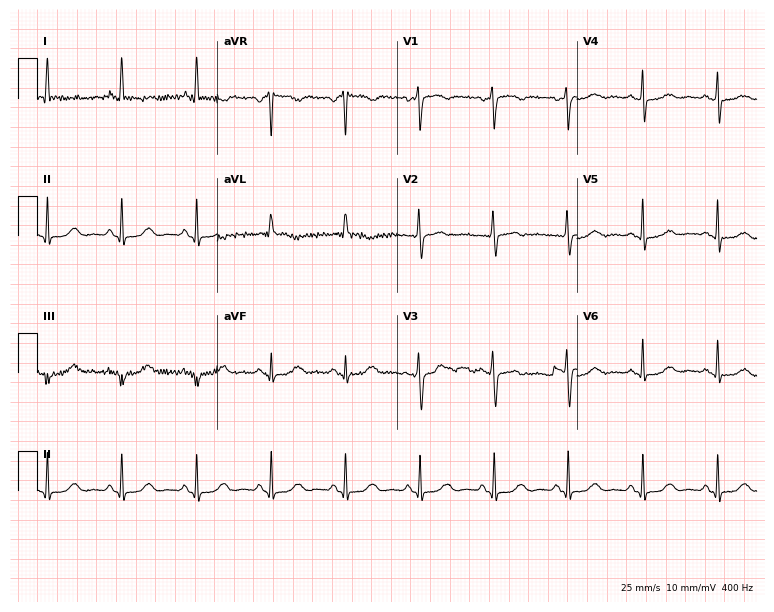
12-lead ECG (7.3-second recording at 400 Hz) from a 76-year-old female. Screened for six findings — first-degree AV block, right bundle branch block, left bundle branch block, sinus bradycardia, atrial fibrillation, sinus tachycardia — none is recorded.